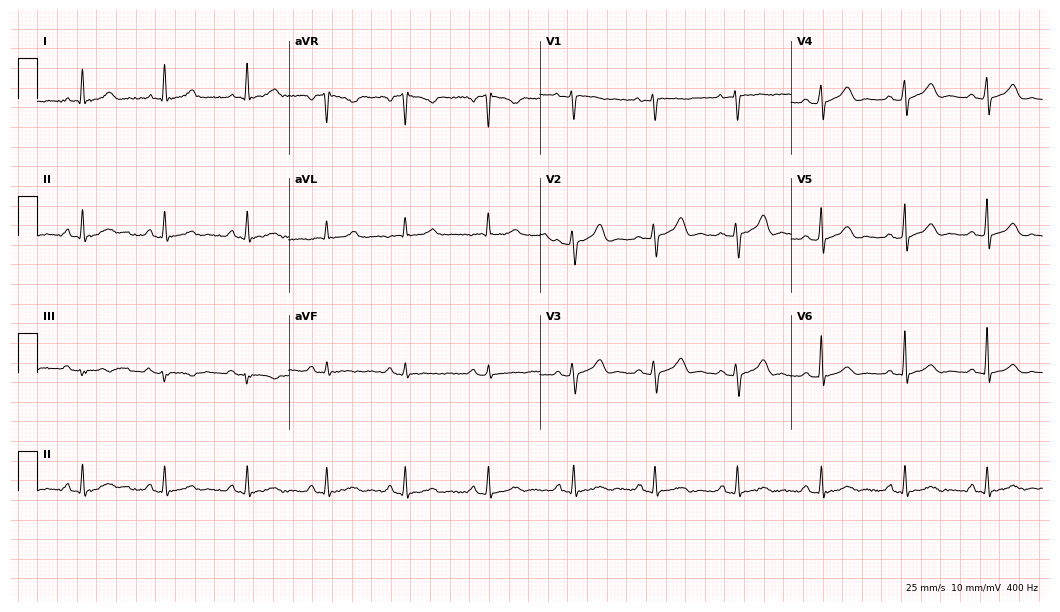
Resting 12-lead electrocardiogram. Patient: a female, 54 years old. Read as a normal ECG.